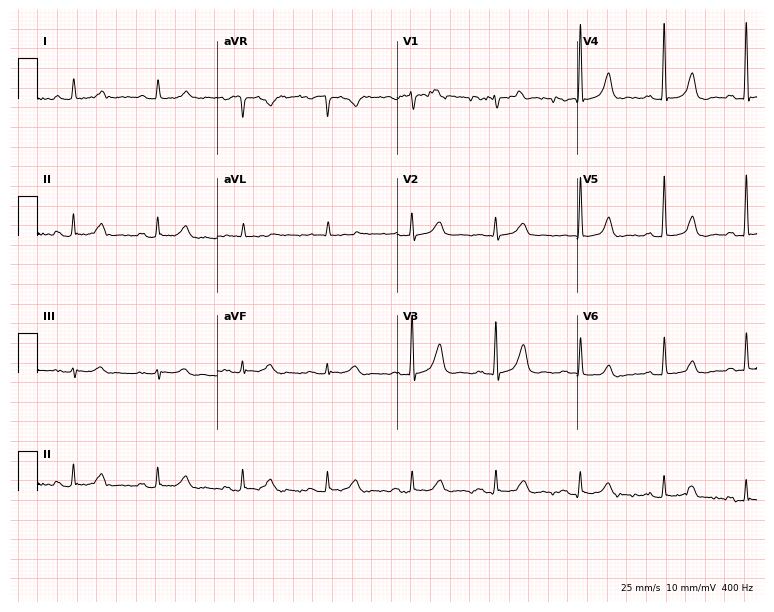
Resting 12-lead electrocardiogram. Patient: a man, 81 years old. None of these six findings is recorded: first-degree AV block, right bundle branch block, left bundle branch block, sinus bradycardia, atrial fibrillation, sinus tachycardia.